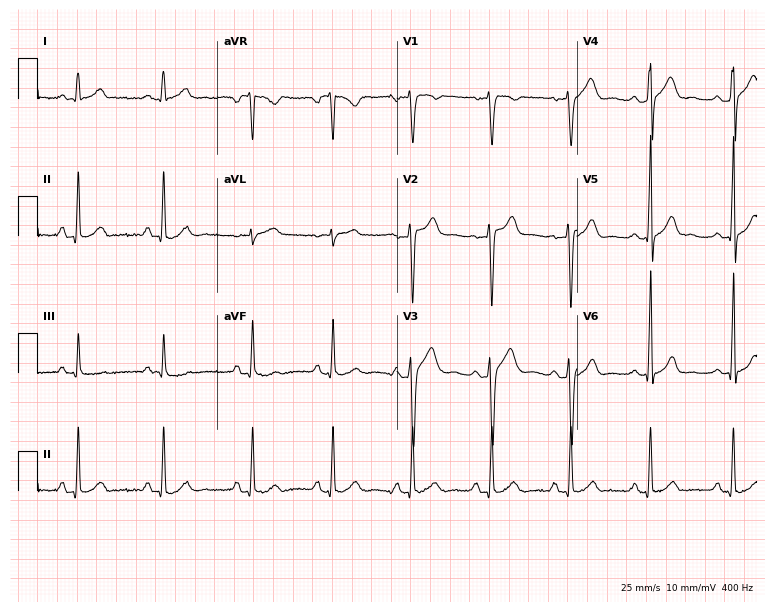
12-lead ECG (7.3-second recording at 400 Hz) from a male patient, 35 years old. Labelled as a normal ECG.